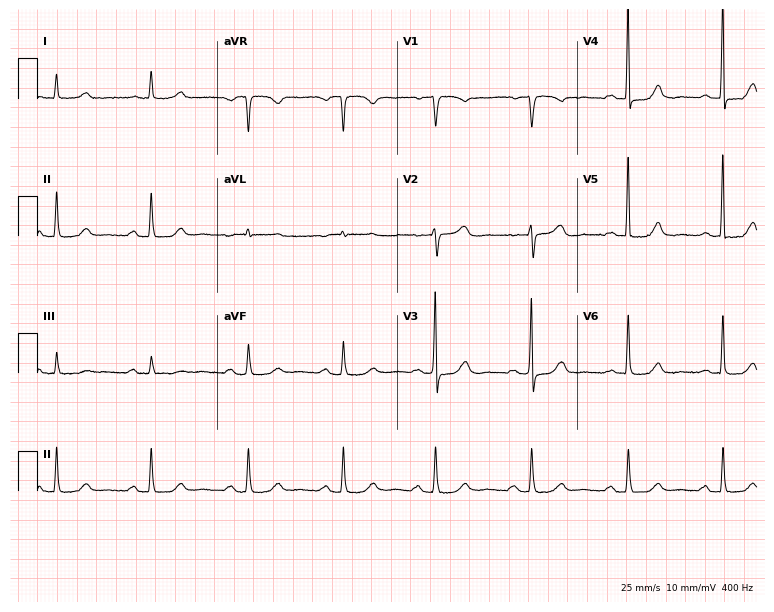
ECG (7.3-second recording at 400 Hz) — a 78-year-old woman. Labelled as a normal ECG.